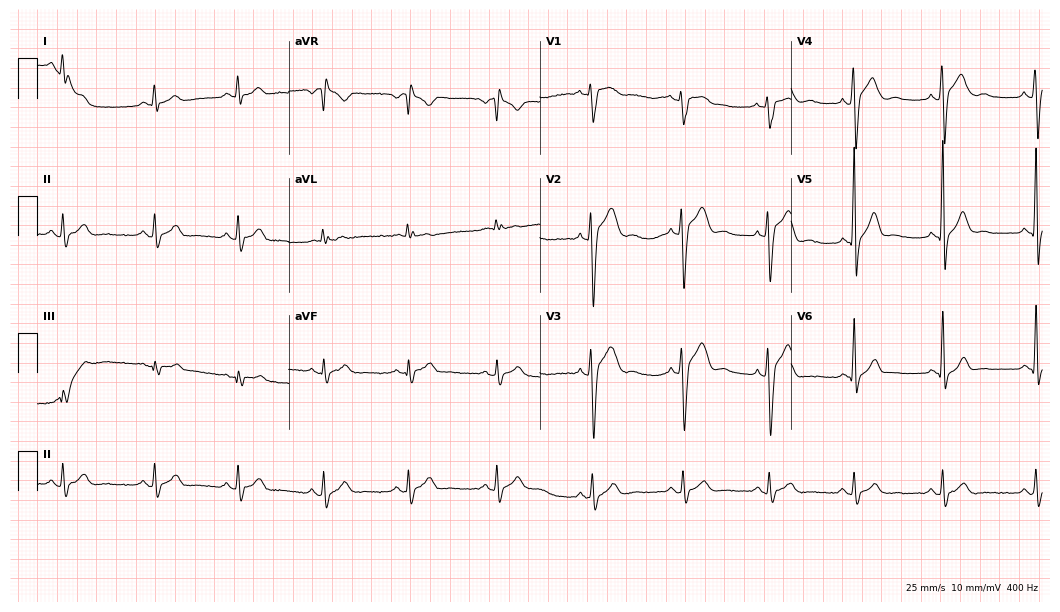
ECG (10.2-second recording at 400 Hz) — a 21-year-old man. Screened for six findings — first-degree AV block, right bundle branch block, left bundle branch block, sinus bradycardia, atrial fibrillation, sinus tachycardia — none is recorded.